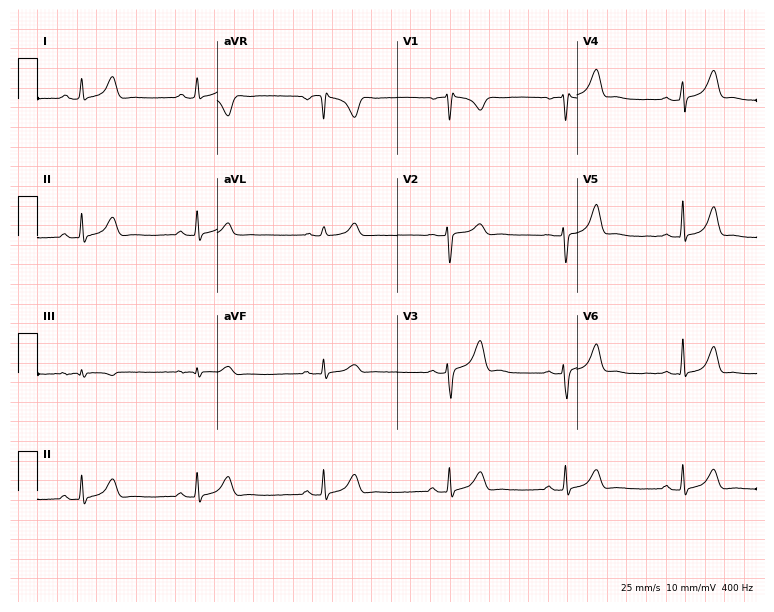
12-lead ECG from a female, 25 years old (7.3-second recording at 400 Hz). No first-degree AV block, right bundle branch block (RBBB), left bundle branch block (LBBB), sinus bradycardia, atrial fibrillation (AF) or sinus tachycardia recorded for this tracing.